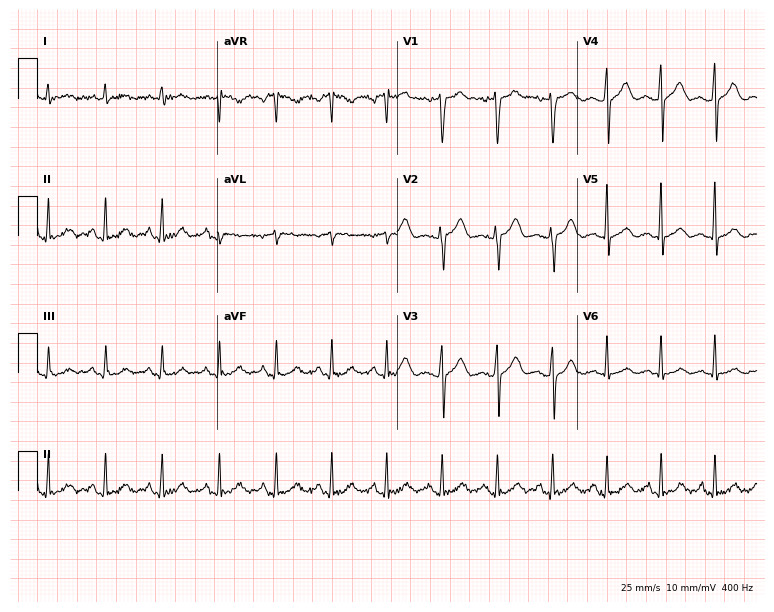
ECG — a 45-year-old male. Findings include sinus tachycardia (a sinus rate of 100 beats per minute or more).